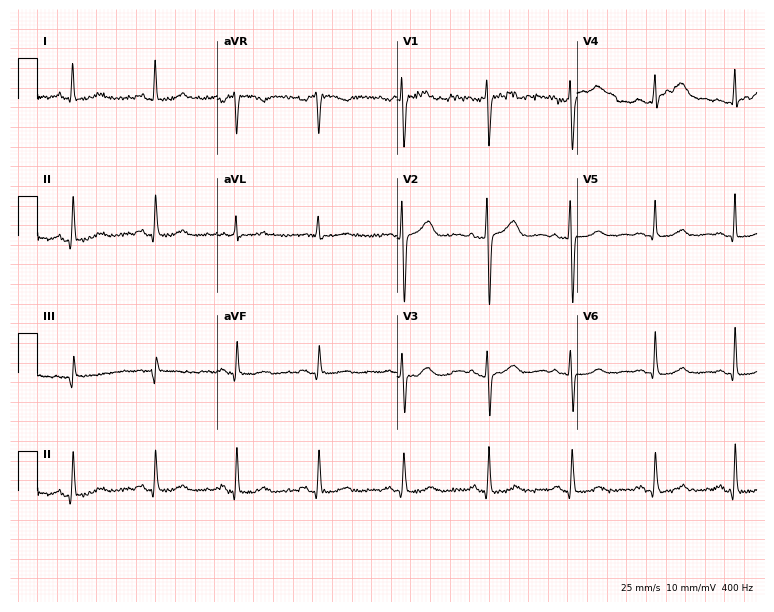
12-lead ECG (7.3-second recording at 400 Hz) from a 38-year-old female patient. Labelled as a normal ECG.